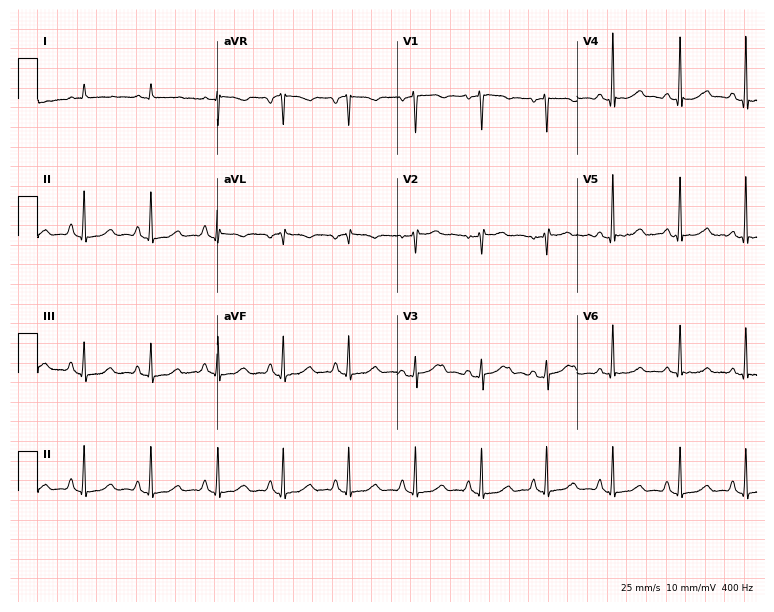
12-lead ECG from a female, 53 years old (7.3-second recording at 400 Hz). No first-degree AV block, right bundle branch block (RBBB), left bundle branch block (LBBB), sinus bradycardia, atrial fibrillation (AF) or sinus tachycardia recorded for this tracing.